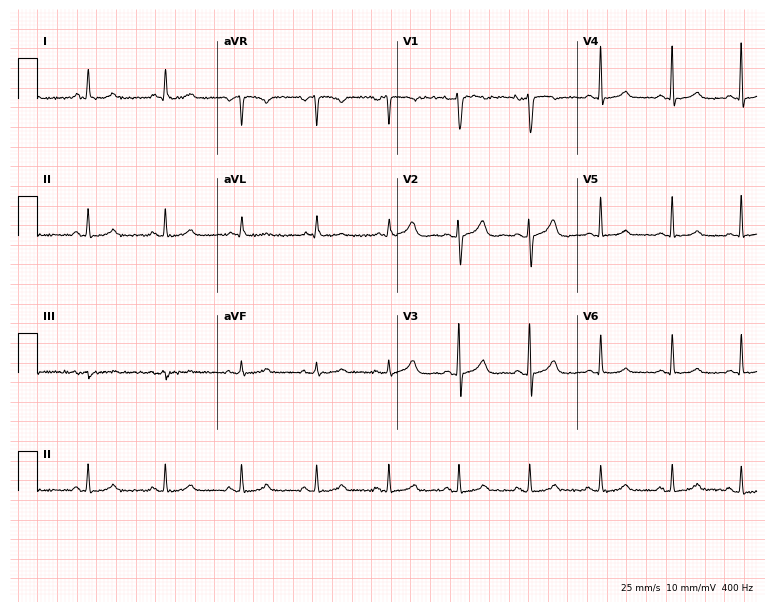
12-lead ECG from a woman, 36 years old. Recorded interpretation: within normal limits.